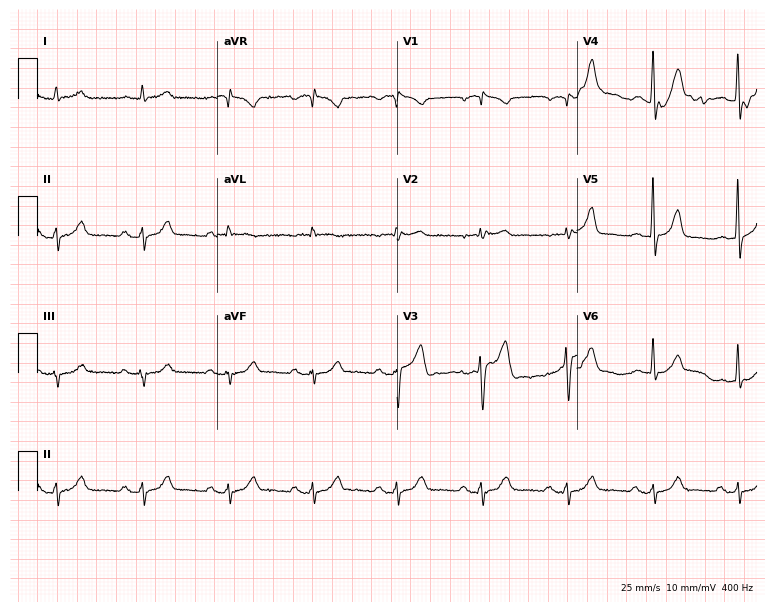
Electrocardiogram (7.3-second recording at 400 Hz), a 72-year-old man. Of the six screened findings (first-degree AV block, right bundle branch block, left bundle branch block, sinus bradycardia, atrial fibrillation, sinus tachycardia), none is recorded. Other findings, if any, are not listed.